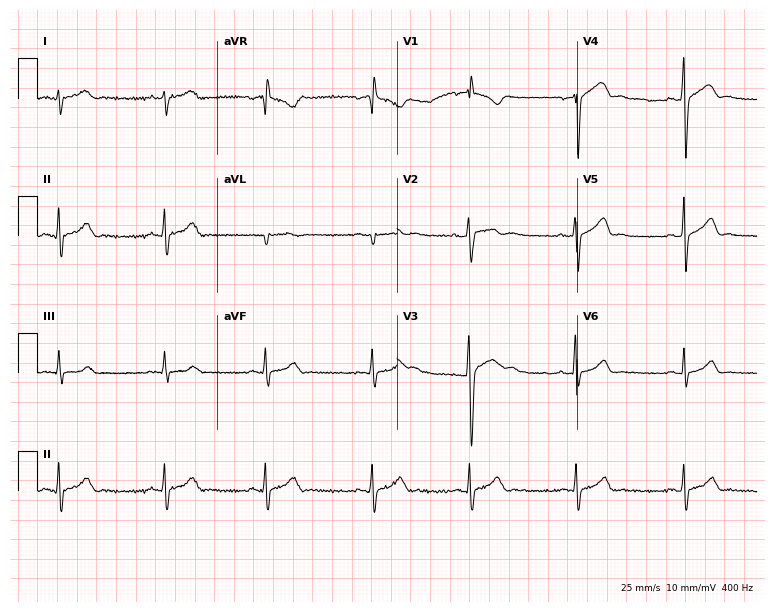
Resting 12-lead electrocardiogram (7.3-second recording at 400 Hz). Patient: a male, 17 years old. Read as a normal ECG.